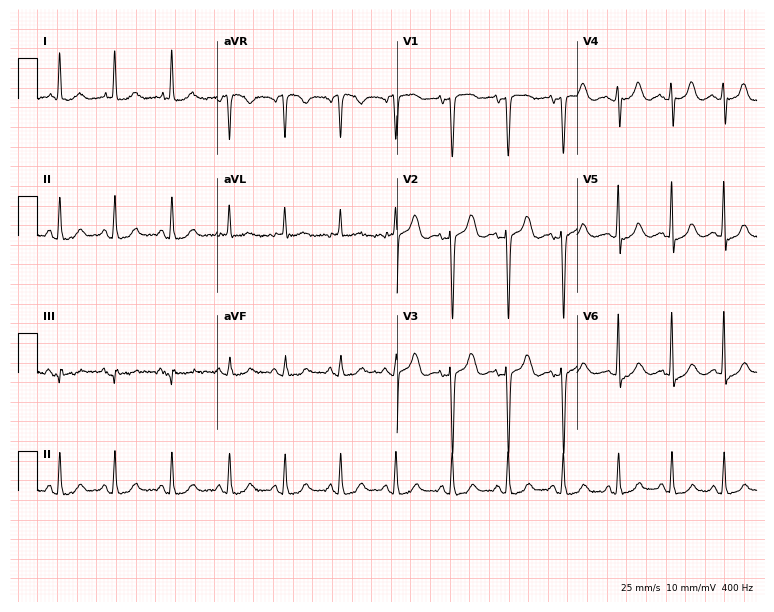
Standard 12-lead ECG recorded from a woman, 85 years old (7.3-second recording at 400 Hz). The tracing shows sinus tachycardia (a sinus rate of 100 beats per minute or more).